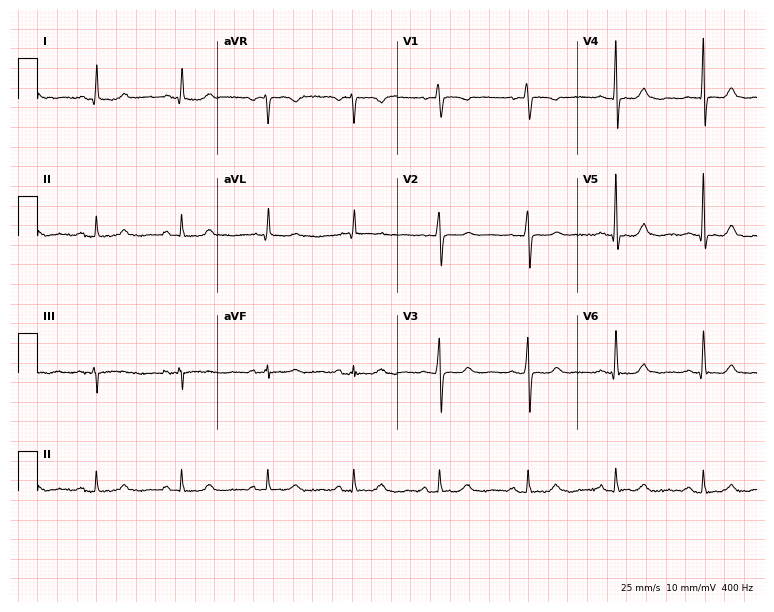
Standard 12-lead ECG recorded from a female patient, 65 years old (7.3-second recording at 400 Hz). None of these six findings is recorded: first-degree AV block, right bundle branch block (RBBB), left bundle branch block (LBBB), sinus bradycardia, atrial fibrillation (AF), sinus tachycardia. Other findings, if any, are not listed.